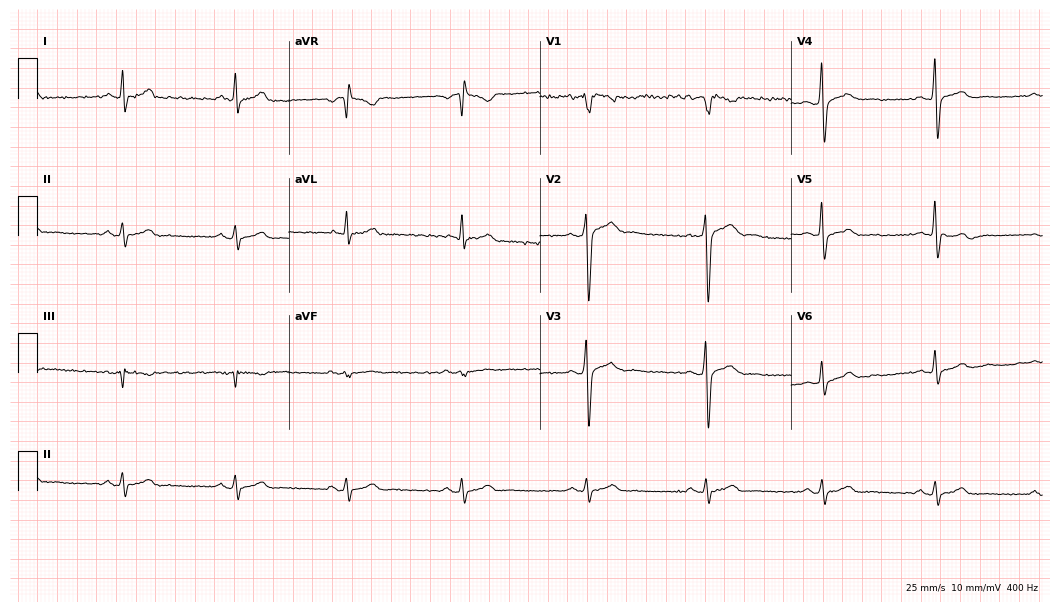
ECG (10.2-second recording at 400 Hz) — a man, 41 years old. Screened for six findings — first-degree AV block, right bundle branch block, left bundle branch block, sinus bradycardia, atrial fibrillation, sinus tachycardia — none is recorded. Other findings, if any, are not listed.